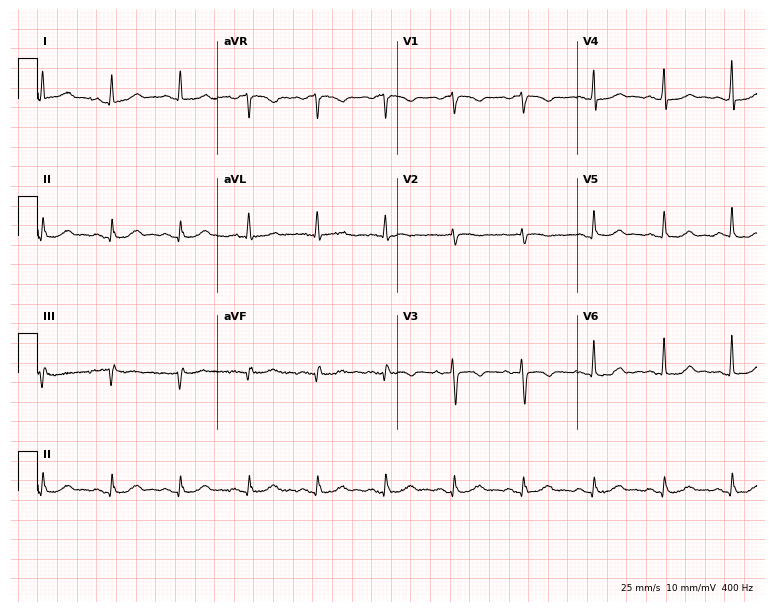
12-lead ECG from a 59-year-old female. Recorded interpretation: within normal limits.